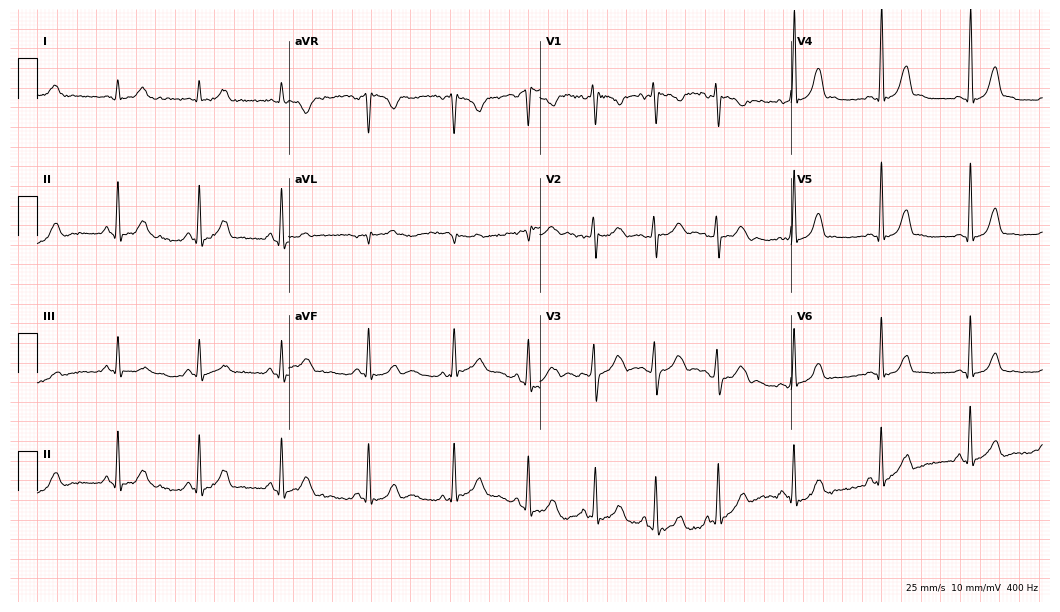
Standard 12-lead ECG recorded from a woman, 22 years old. Read as a normal ECG.